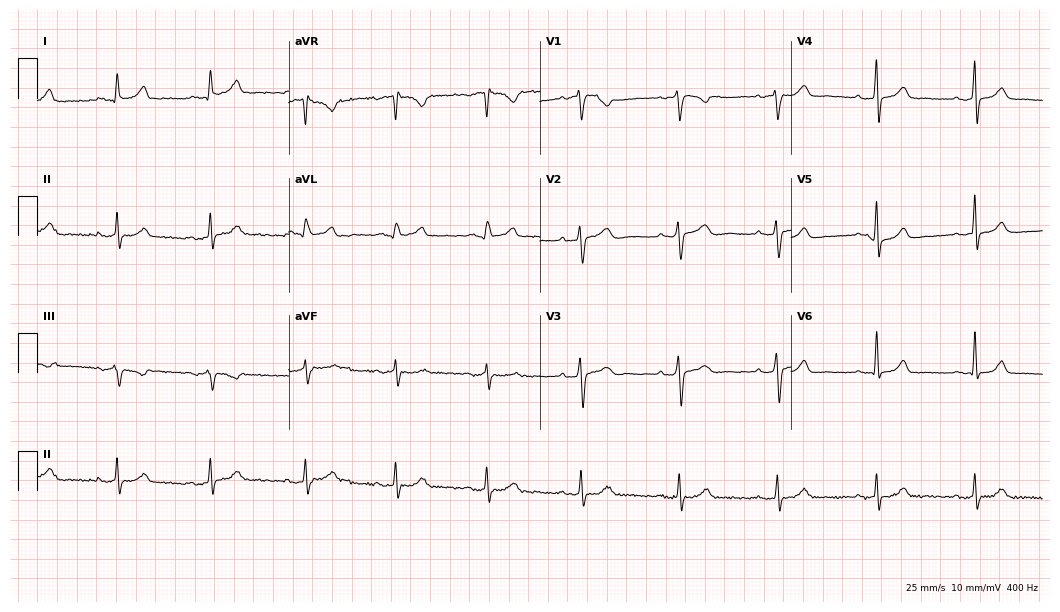
Electrocardiogram, a woman, 24 years old. Of the six screened findings (first-degree AV block, right bundle branch block, left bundle branch block, sinus bradycardia, atrial fibrillation, sinus tachycardia), none is recorded. Findings outside these six are not listed.